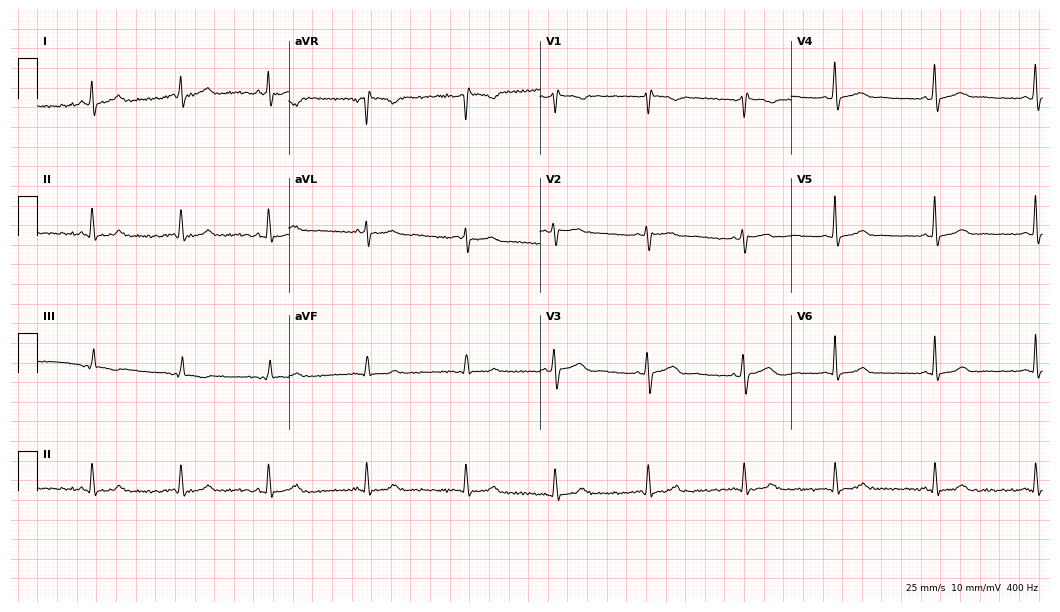
12-lead ECG from a female patient, 40 years old. No first-degree AV block, right bundle branch block, left bundle branch block, sinus bradycardia, atrial fibrillation or sinus tachycardia recorded for this tracing. Other findings, if any, are not listed.